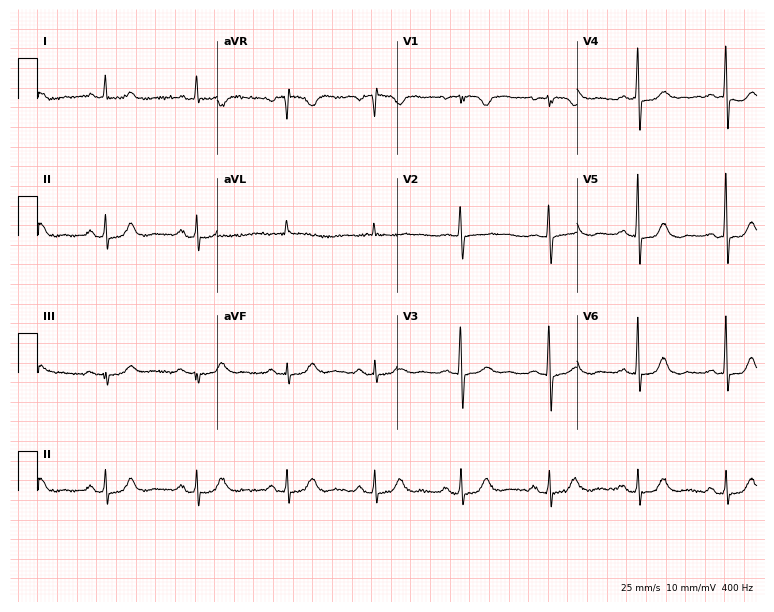
Resting 12-lead electrocardiogram (7.3-second recording at 400 Hz). Patient: a 79-year-old female. None of these six findings is recorded: first-degree AV block, right bundle branch block, left bundle branch block, sinus bradycardia, atrial fibrillation, sinus tachycardia. Findings outside these six are not listed.